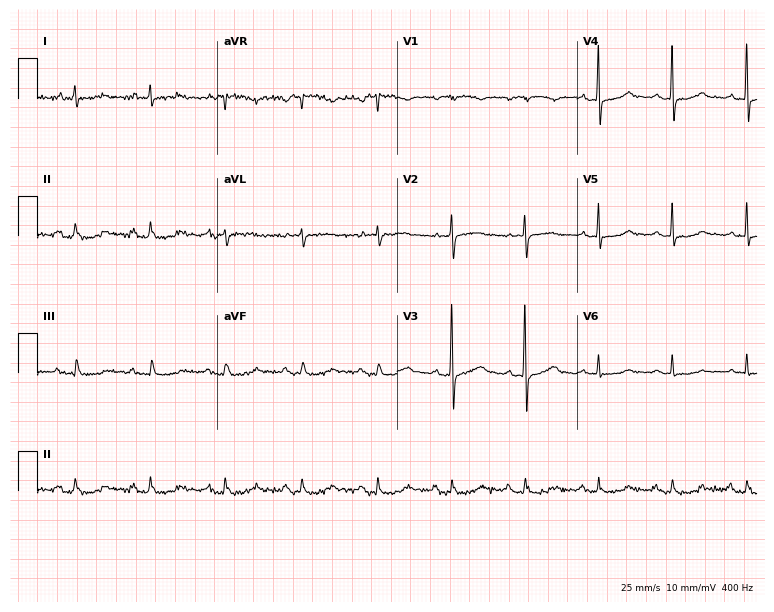
Electrocardiogram (7.3-second recording at 400 Hz), a 79-year-old man. Overall reading on record: normal ECG.